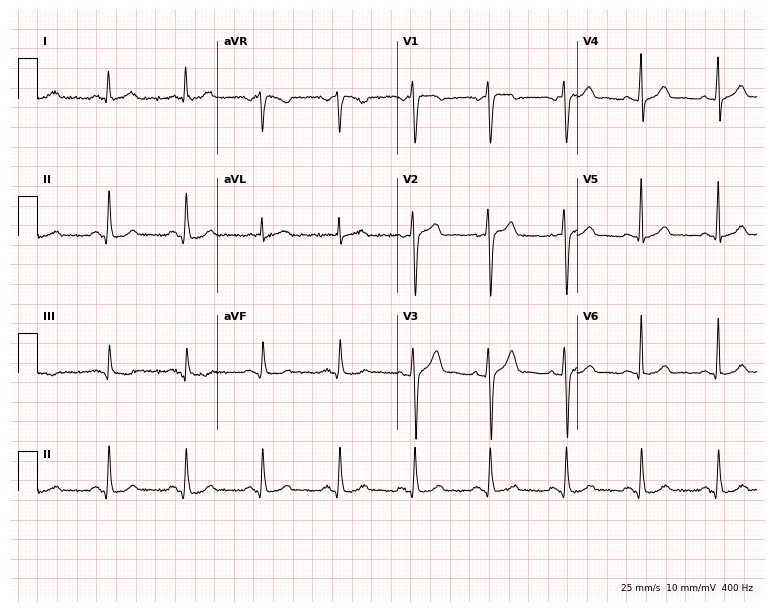
ECG (7.3-second recording at 400 Hz) — a male patient, 45 years old. Screened for six findings — first-degree AV block, right bundle branch block, left bundle branch block, sinus bradycardia, atrial fibrillation, sinus tachycardia — none is recorded. Only these six findings were labelled.